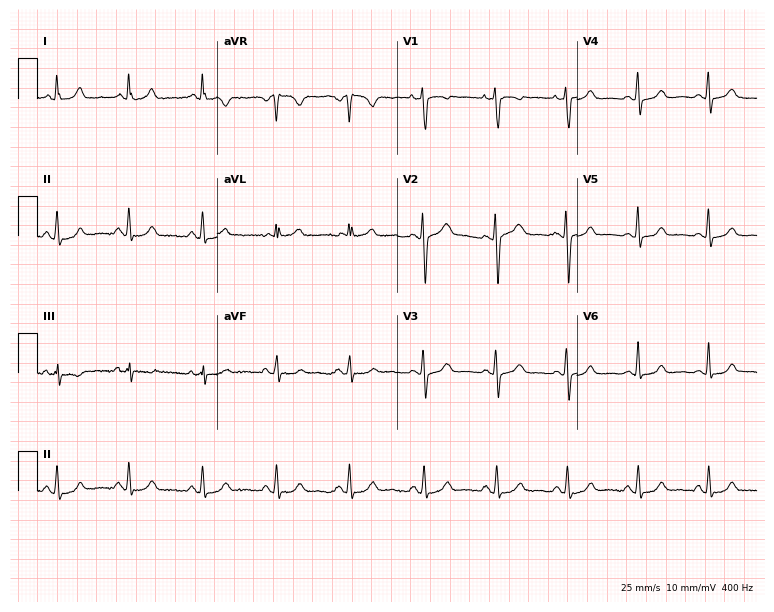
Standard 12-lead ECG recorded from a 38-year-old woman (7.3-second recording at 400 Hz). Read as a normal ECG.